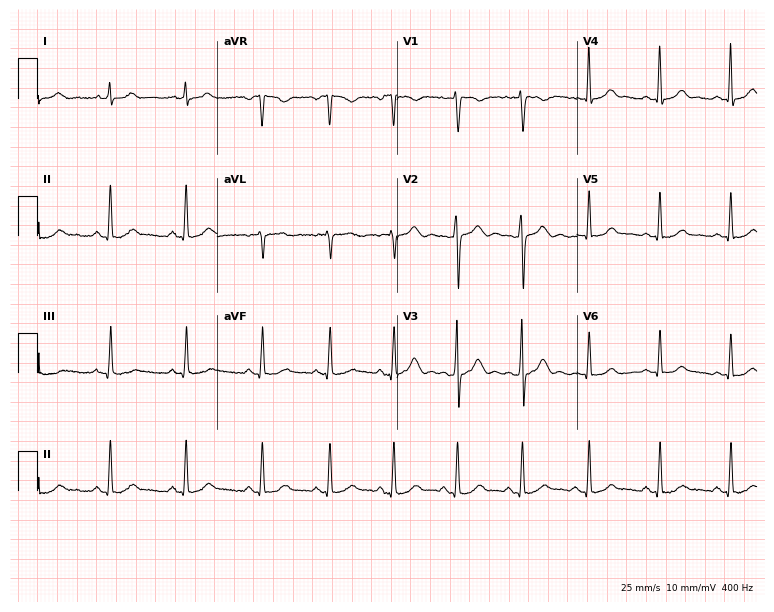
Resting 12-lead electrocardiogram (7.3-second recording at 400 Hz). Patient: a female, 26 years old. Read as a normal ECG.